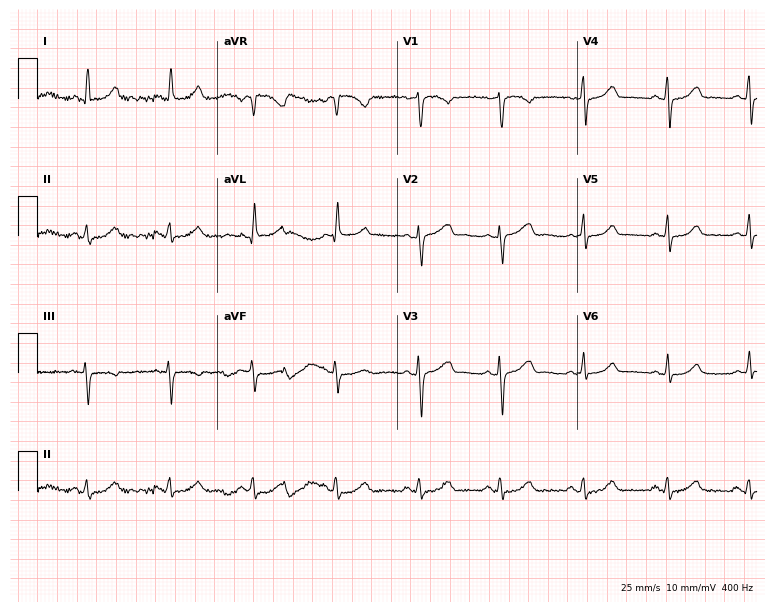
ECG — a female patient, 55 years old. Labelled as a normal ECG.